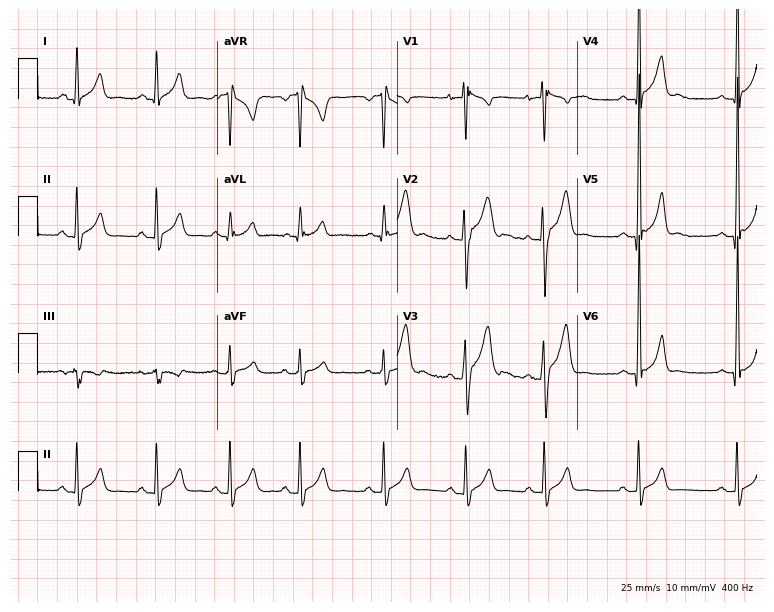
Resting 12-lead electrocardiogram. Patient: a male, 17 years old. None of these six findings is recorded: first-degree AV block, right bundle branch block, left bundle branch block, sinus bradycardia, atrial fibrillation, sinus tachycardia. Findings outside these six are not listed.